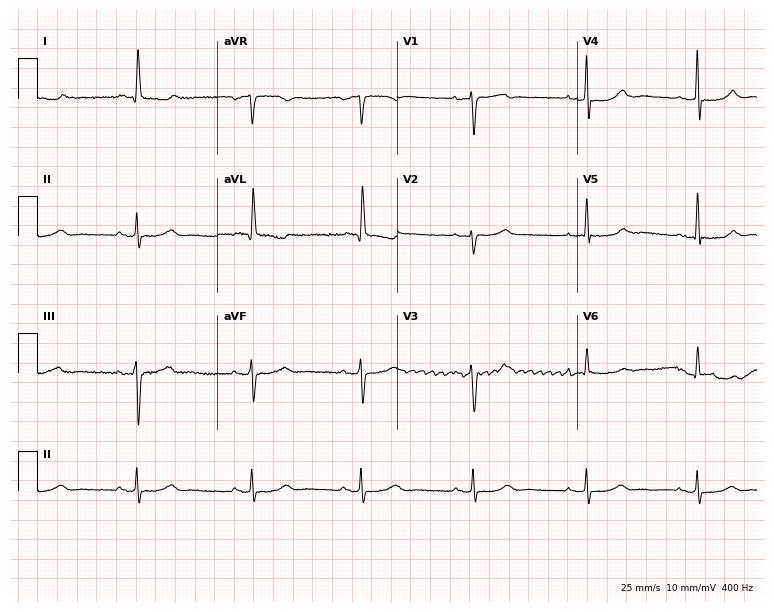
Resting 12-lead electrocardiogram. Patient: a 58-year-old woman. None of these six findings is recorded: first-degree AV block, right bundle branch block, left bundle branch block, sinus bradycardia, atrial fibrillation, sinus tachycardia. Only these six findings were labelled.